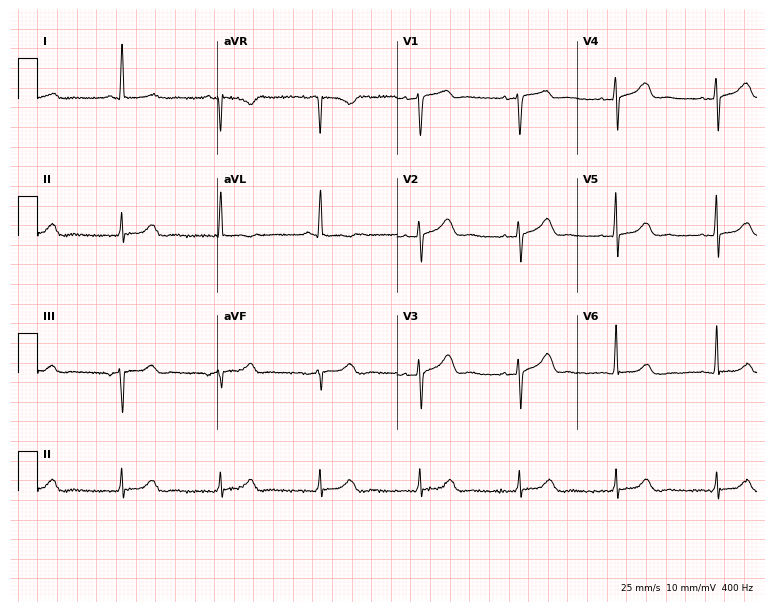
Electrocardiogram (7.3-second recording at 400 Hz), a female patient, 59 years old. Of the six screened findings (first-degree AV block, right bundle branch block (RBBB), left bundle branch block (LBBB), sinus bradycardia, atrial fibrillation (AF), sinus tachycardia), none is recorded.